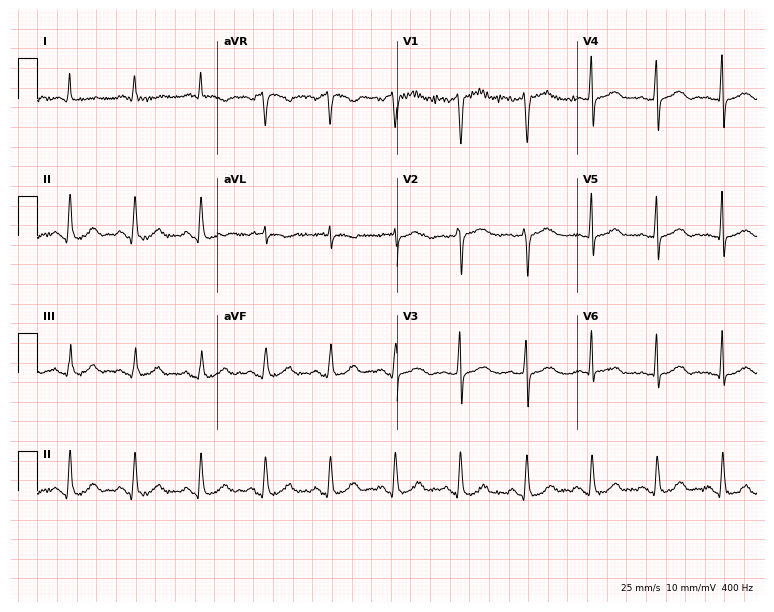
Resting 12-lead electrocardiogram. Patient: a 59-year-old woman. None of these six findings is recorded: first-degree AV block, right bundle branch block, left bundle branch block, sinus bradycardia, atrial fibrillation, sinus tachycardia.